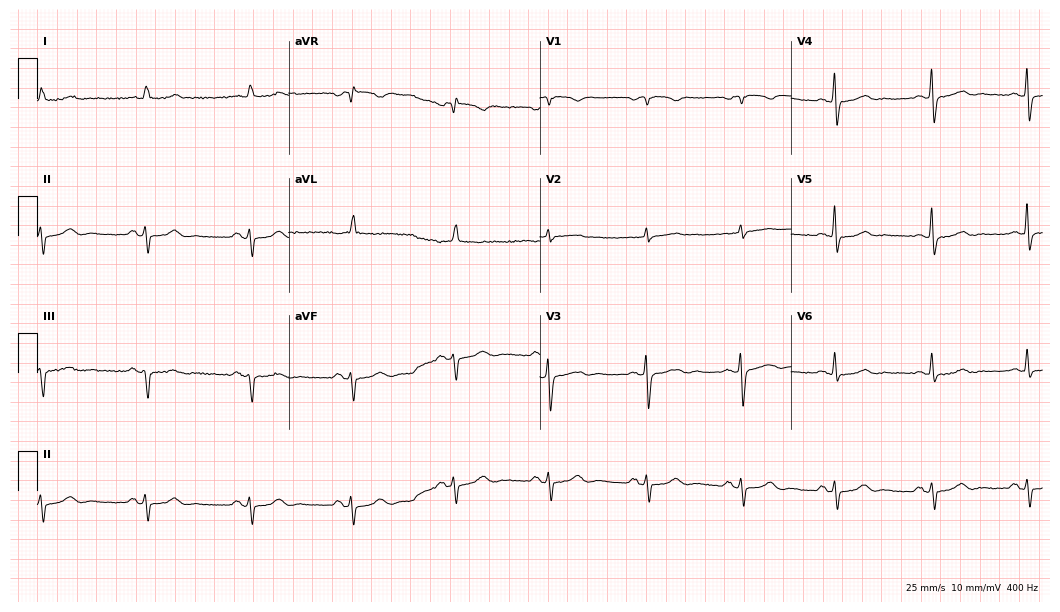
Standard 12-lead ECG recorded from a male, 78 years old. None of these six findings is recorded: first-degree AV block, right bundle branch block, left bundle branch block, sinus bradycardia, atrial fibrillation, sinus tachycardia.